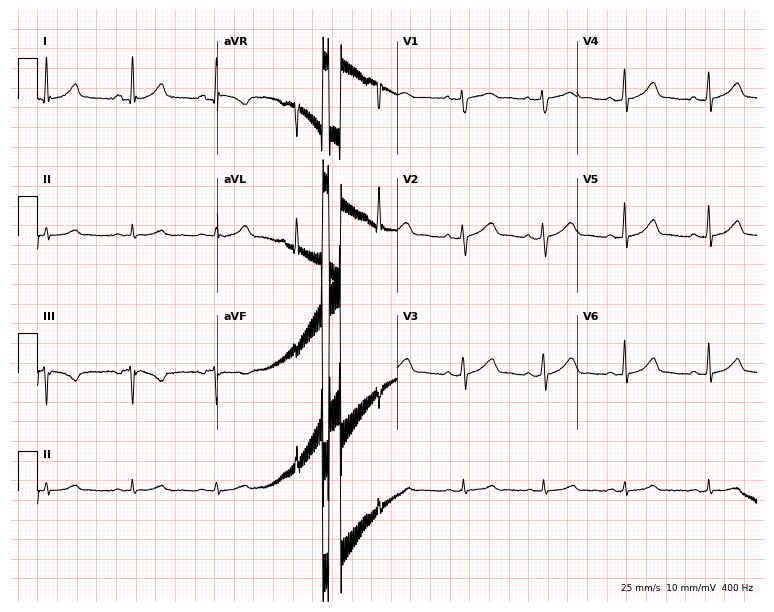
Resting 12-lead electrocardiogram. Patient: a female, 31 years old. Read as a normal ECG.